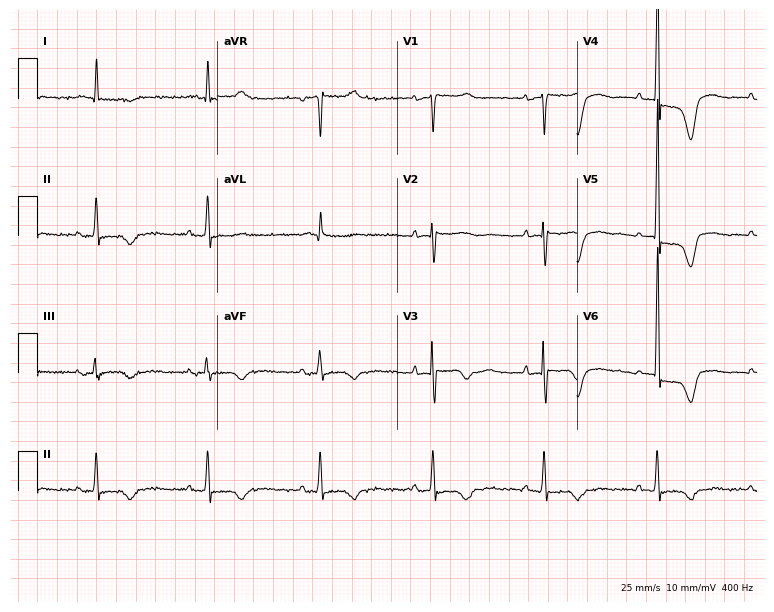
Electrocardiogram, a woman, 79 years old. Of the six screened findings (first-degree AV block, right bundle branch block (RBBB), left bundle branch block (LBBB), sinus bradycardia, atrial fibrillation (AF), sinus tachycardia), none is recorded.